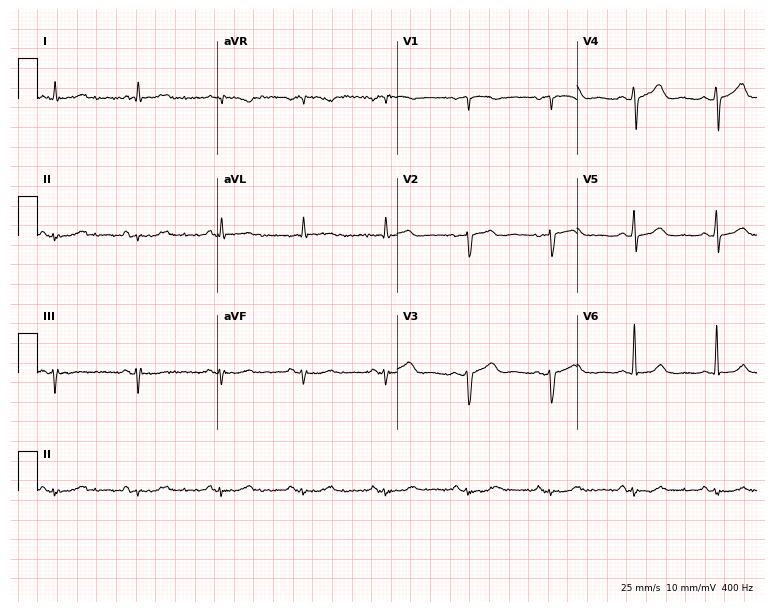
Resting 12-lead electrocardiogram (7.3-second recording at 400 Hz). Patient: an 83-year-old man. None of these six findings is recorded: first-degree AV block, right bundle branch block, left bundle branch block, sinus bradycardia, atrial fibrillation, sinus tachycardia.